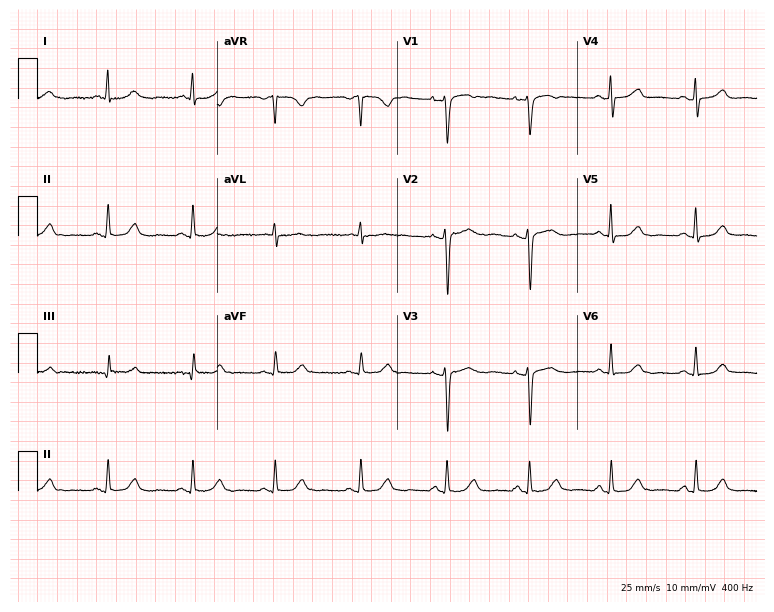
Standard 12-lead ECG recorded from a female patient, 54 years old. Read as a normal ECG.